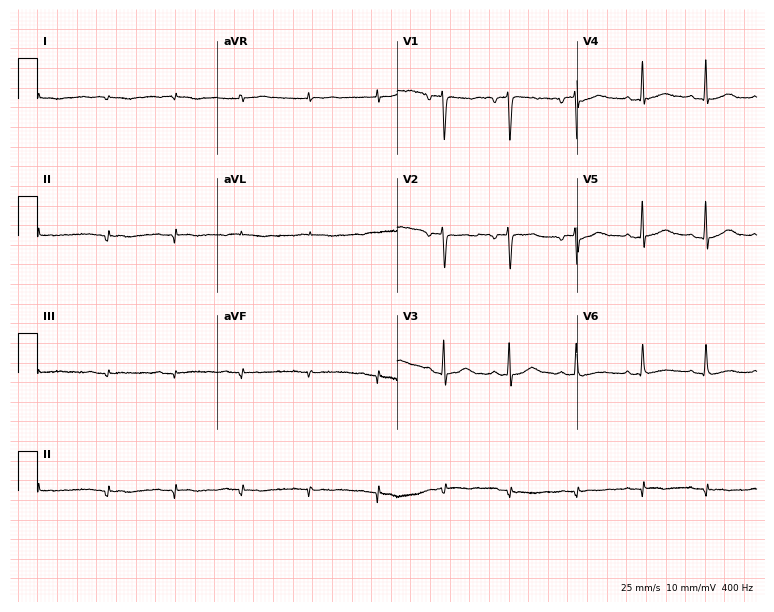
Resting 12-lead electrocardiogram. Patient: a female, 77 years old. None of these six findings is recorded: first-degree AV block, right bundle branch block, left bundle branch block, sinus bradycardia, atrial fibrillation, sinus tachycardia. Other findings, if any, are not listed.